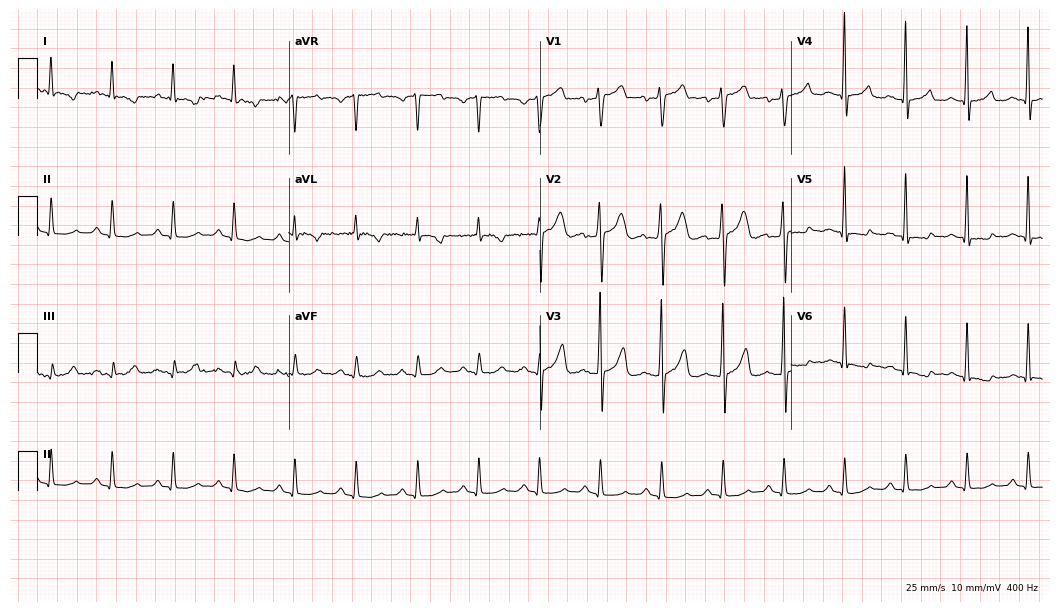
Resting 12-lead electrocardiogram. Patient: a man, 46 years old. None of these six findings is recorded: first-degree AV block, right bundle branch block, left bundle branch block, sinus bradycardia, atrial fibrillation, sinus tachycardia.